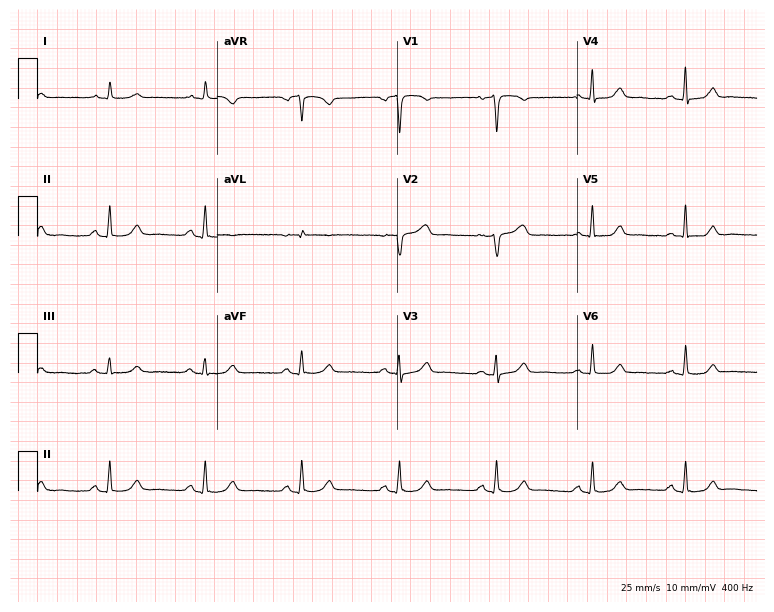
Electrocardiogram, a female patient, 53 years old. Overall reading on record: normal ECG.